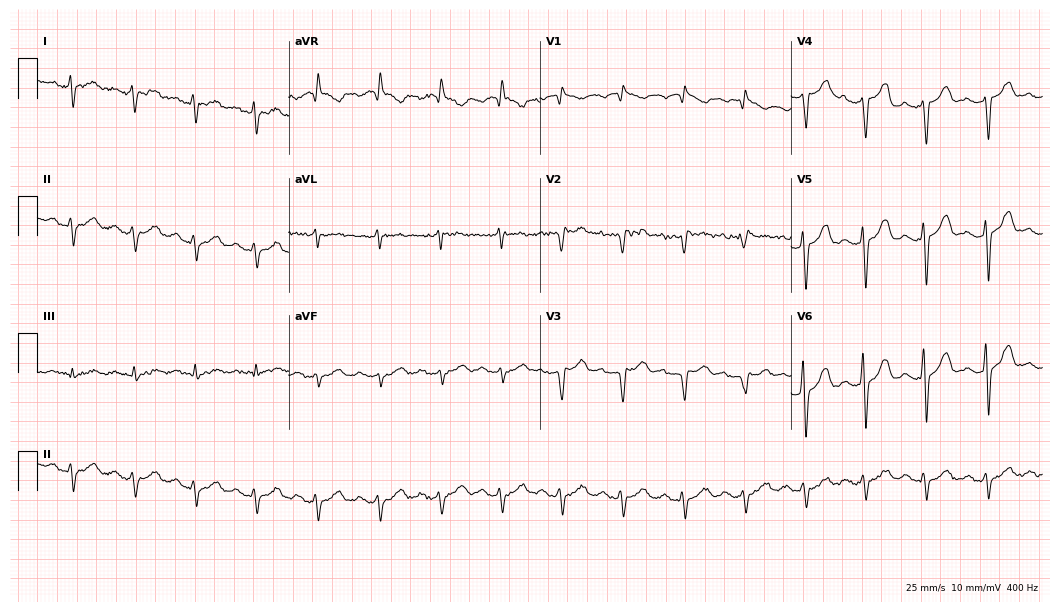
Standard 12-lead ECG recorded from a male patient, 66 years old (10.2-second recording at 400 Hz). None of these six findings is recorded: first-degree AV block, right bundle branch block, left bundle branch block, sinus bradycardia, atrial fibrillation, sinus tachycardia. Other findings, if any, are not listed.